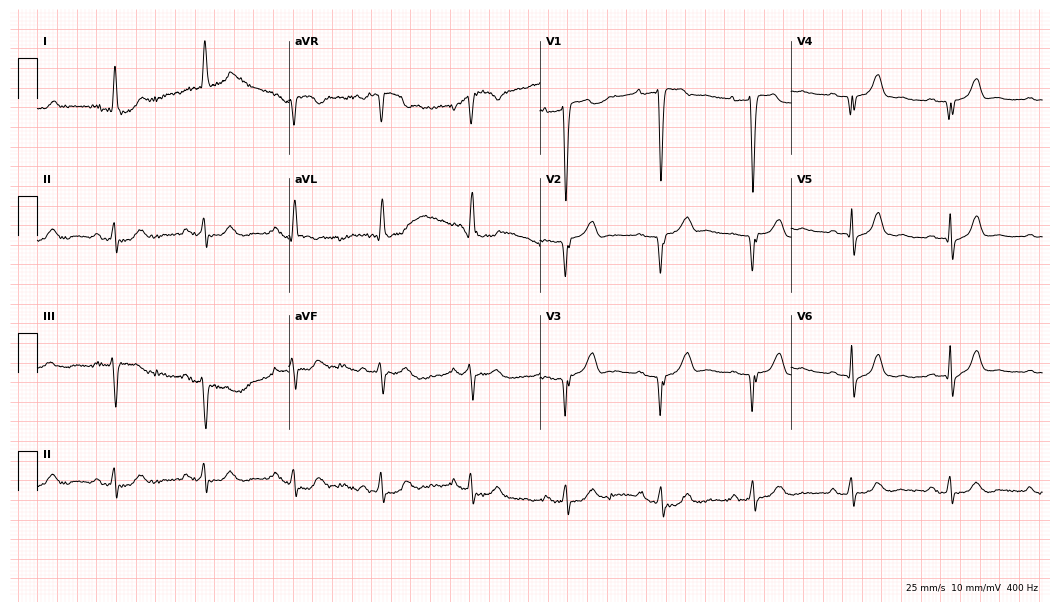
Resting 12-lead electrocardiogram. Patient: a 72-year-old female. None of these six findings is recorded: first-degree AV block, right bundle branch block, left bundle branch block, sinus bradycardia, atrial fibrillation, sinus tachycardia. Findings outside these six are not listed.